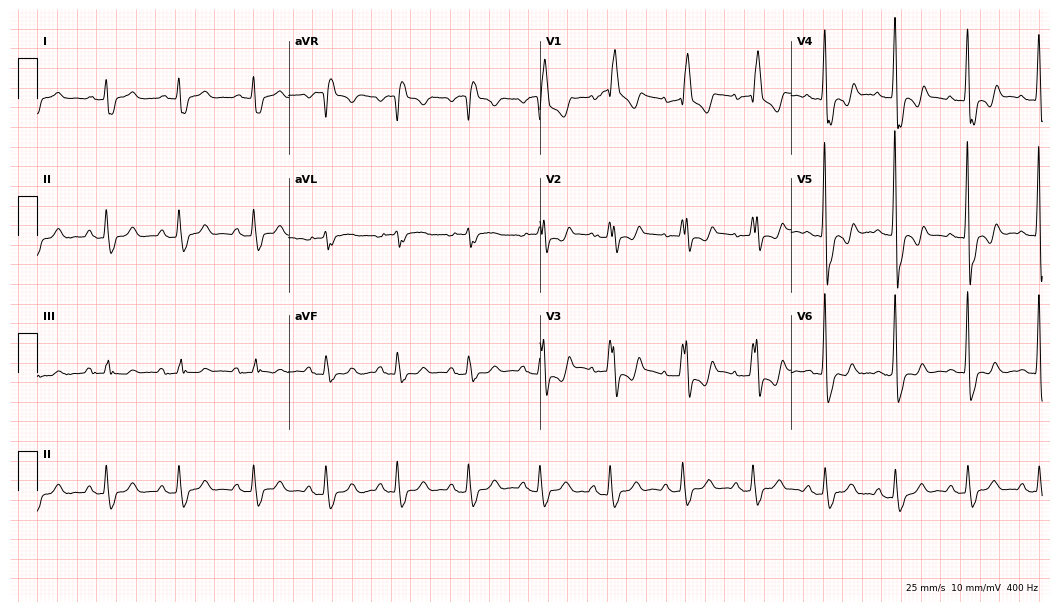
Electrocardiogram, an 81-year-old man. Of the six screened findings (first-degree AV block, right bundle branch block, left bundle branch block, sinus bradycardia, atrial fibrillation, sinus tachycardia), none is recorded.